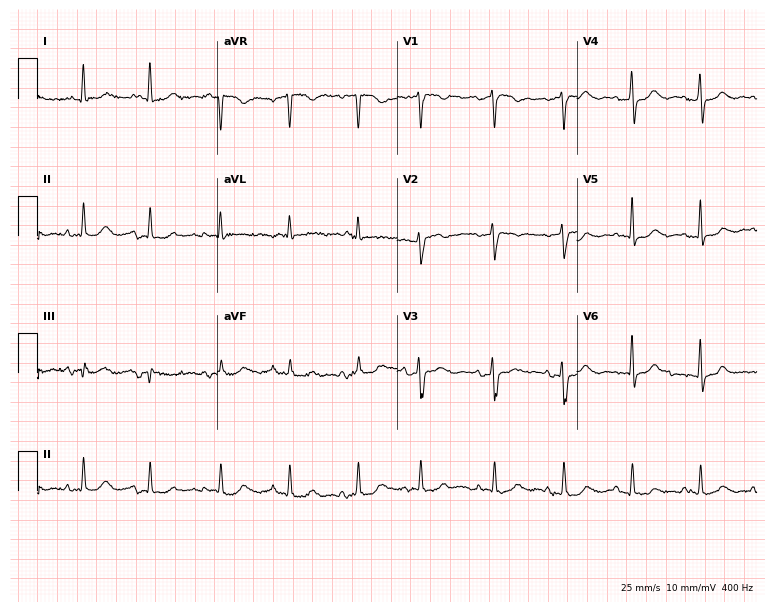
Resting 12-lead electrocardiogram. Patient: a female, 84 years old. None of these six findings is recorded: first-degree AV block, right bundle branch block, left bundle branch block, sinus bradycardia, atrial fibrillation, sinus tachycardia. Findings outside these six are not listed.